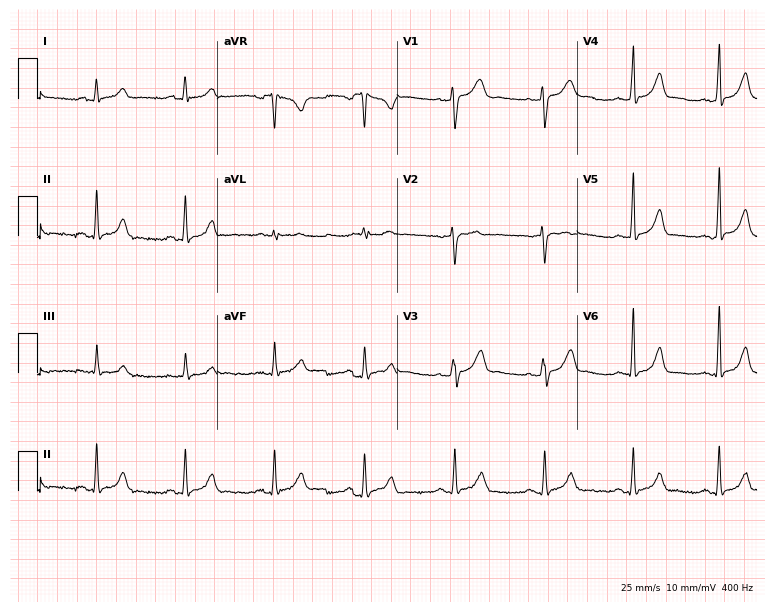
12-lead ECG (7.3-second recording at 400 Hz) from a woman, 33 years old. Labelled as a normal ECG.